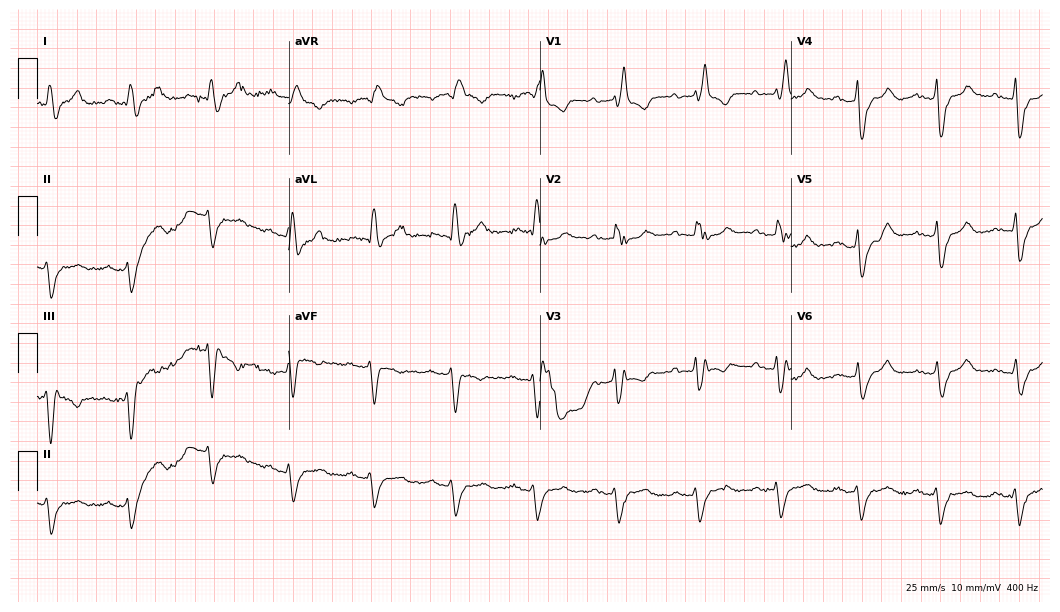
ECG — a male patient, 80 years old. Findings include first-degree AV block, right bundle branch block (RBBB).